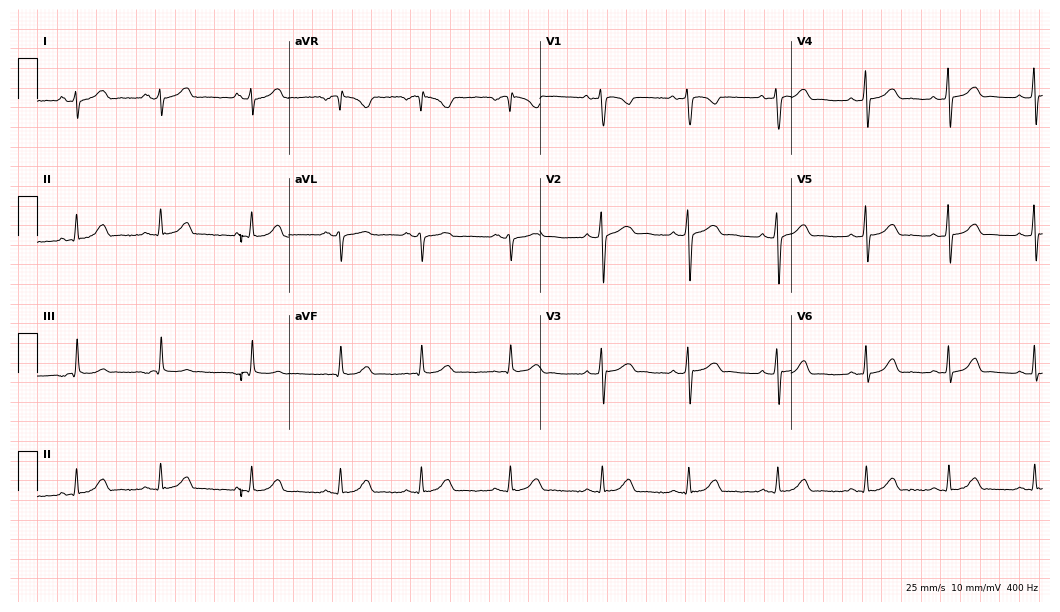
12-lead ECG (10.2-second recording at 400 Hz) from a 17-year-old female patient. Labelled as a normal ECG.